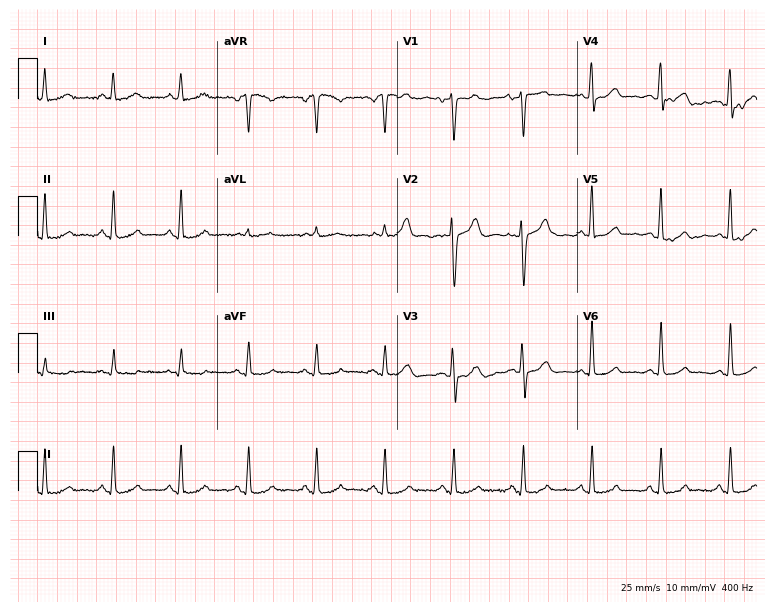
Electrocardiogram (7.3-second recording at 400 Hz), a man, 42 years old. Overall reading on record: normal ECG.